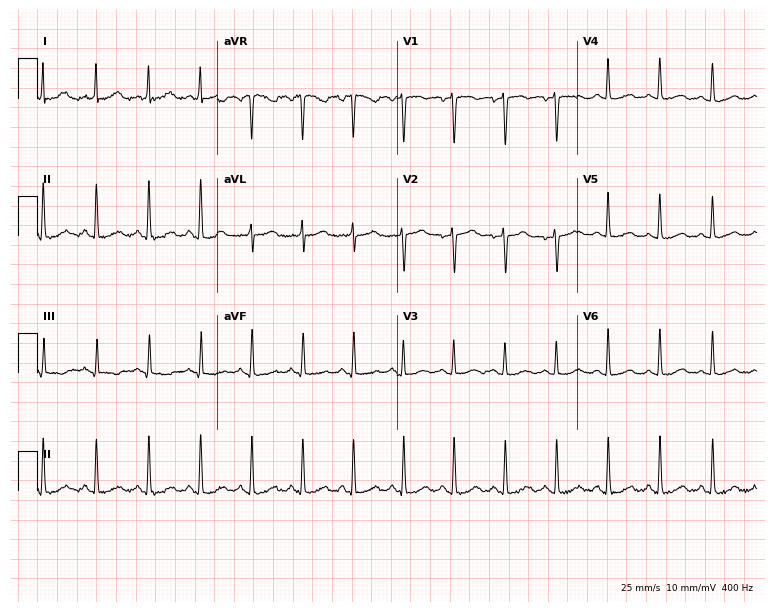
Electrocardiogram, a woman, 29 years old. Interpretation includes sinus tachycardia (a sinus rate of 100 beats per minute or more).